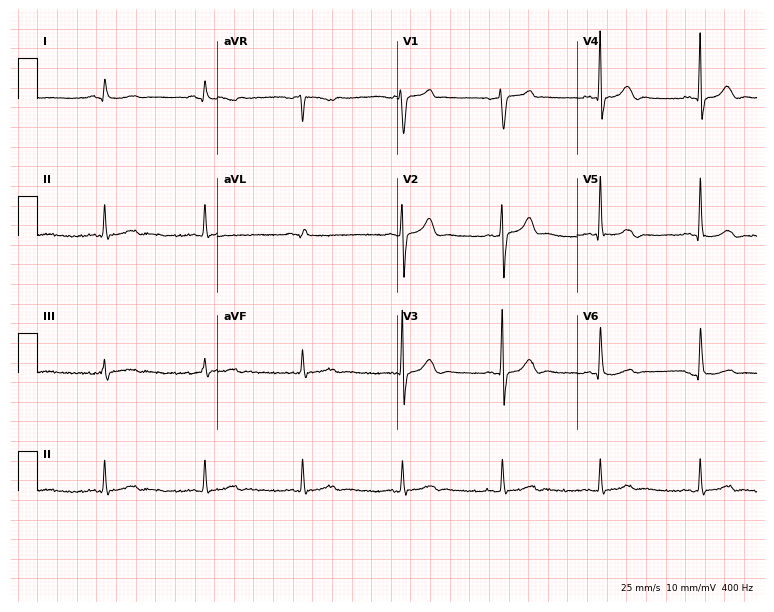
Resting 12-lead electrocardiogram. Patient: a 62-year-old male. None of these six findings is recorded: first-degree AV block, right bundle branch block, left bundle branch block, sinus bradycardia, atrial fibrillation, sinus tachycardia.